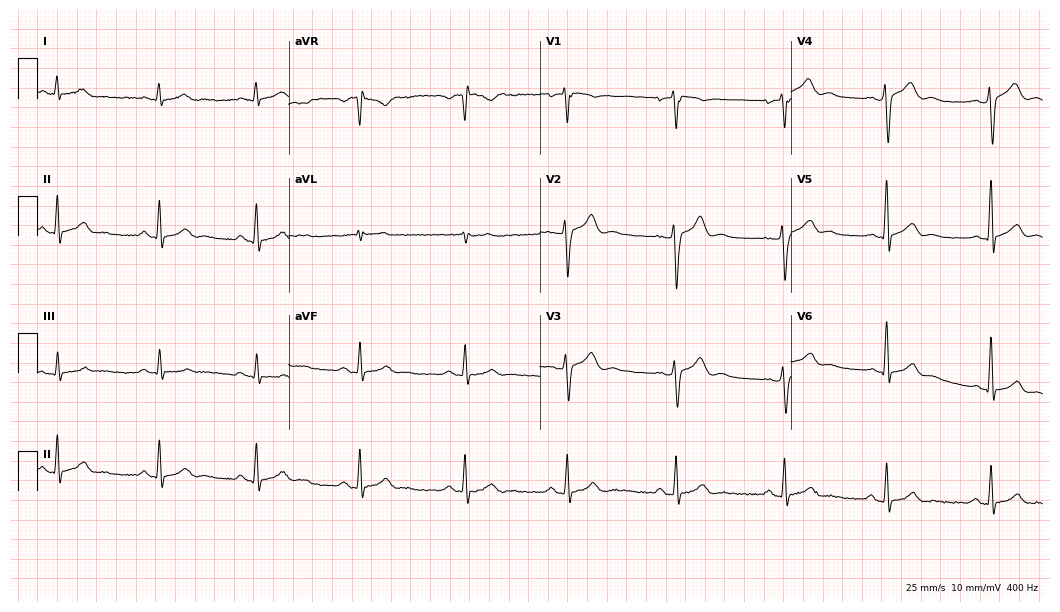
12-lead ECG from a male, 28 years old (10.2-second recording at 400 Hz). No first-degree AV block, right bundle branch block (RBBB), left bundle branch block (LBBB), sinus bradycardia, atrial fibrillation (AF) or sinus tachycardia recorded for this tracing.